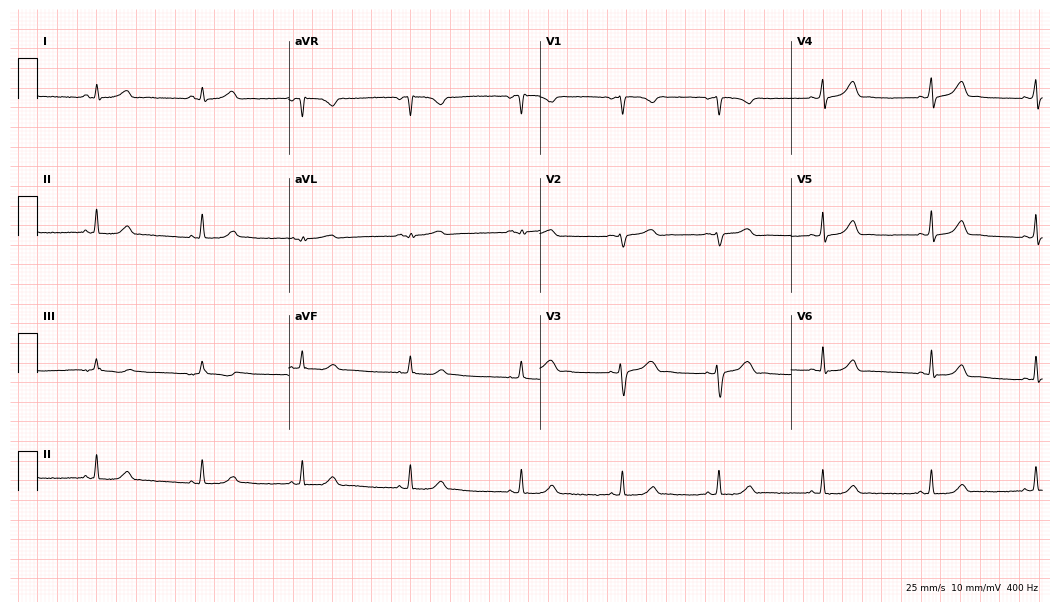
12-lead ECG from a 27-year-old female. Labelled as a normal ECG.